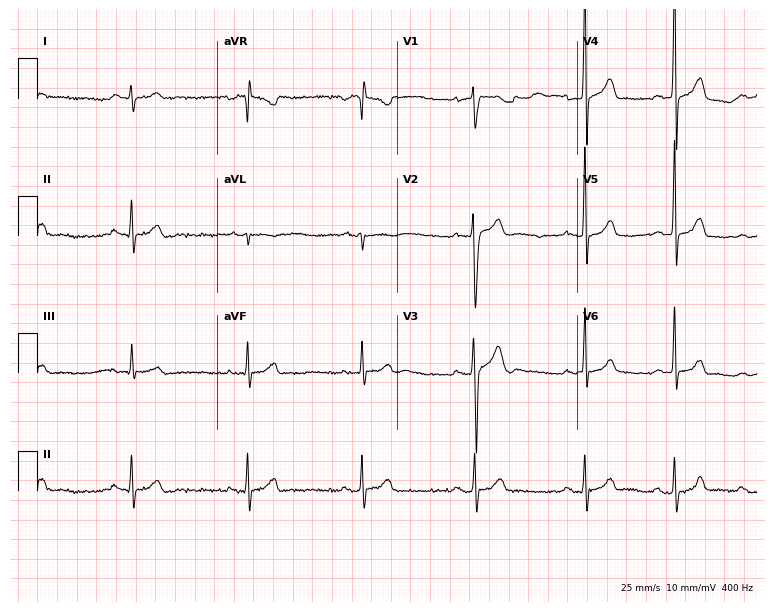
Electrocardiogram (7.3-second recording at 400 Hz), a 17-year-old man. Overall reading on record: normal ECG.